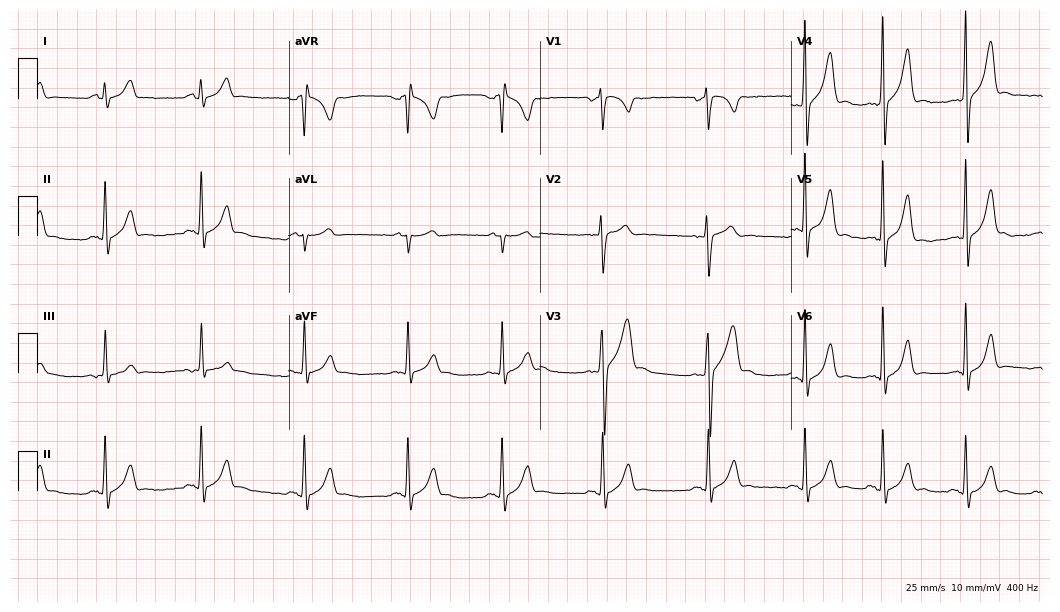
ECG — a male, 17 years old. Labelled as a normal ECG.